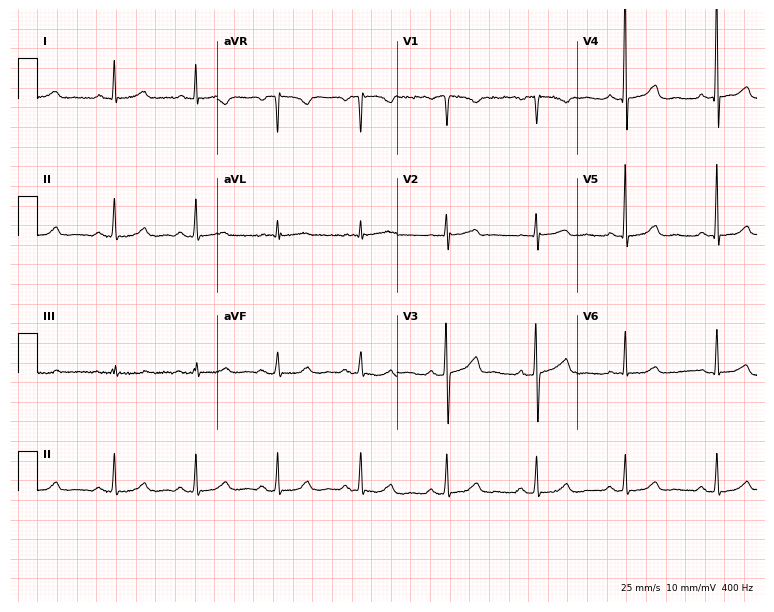
12-lead ECG from a female, 32 years old. Labelled as a normal ECG.